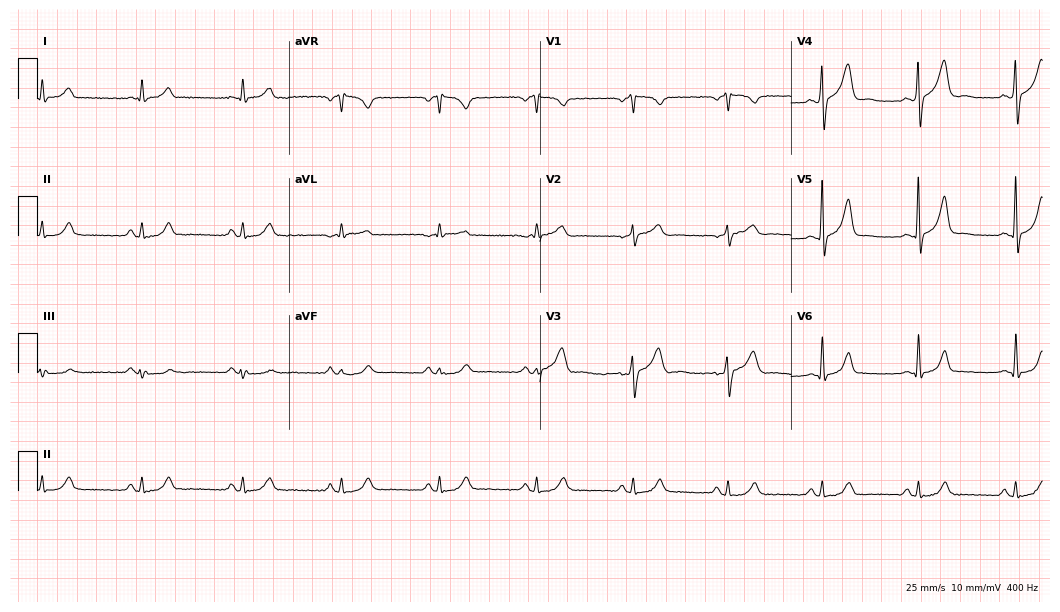
12-lead ECG from a male patient, 73 years old. Recorded interpretation: within normal limits.